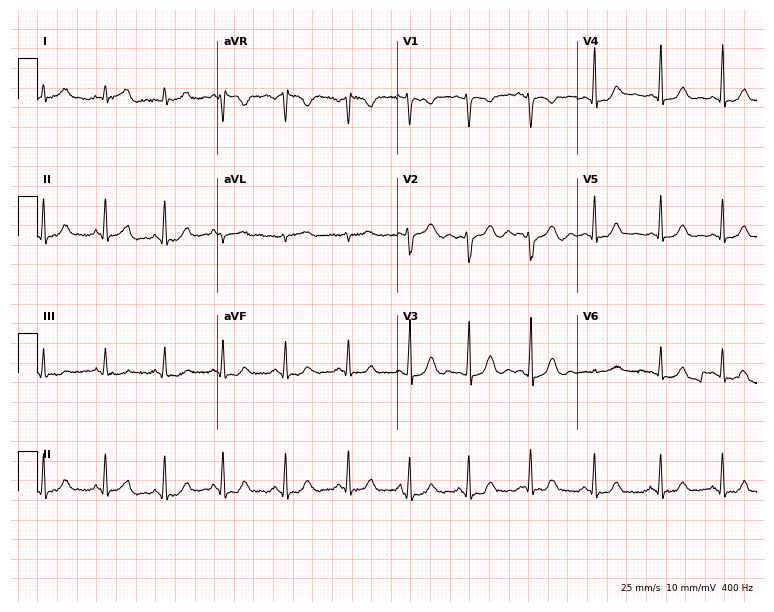
12-lead ECG (7.3-second recording at 400 Hz) from a woman, 26 years old. Screened for six findings — first-degree AV block, right bundle branch block (RBBB), left bundle branch block (LBBB), sinus bradycardia, atrial fibrillation (AF), sinus tachycardia — none is recorded. Only these six findings were labelled.